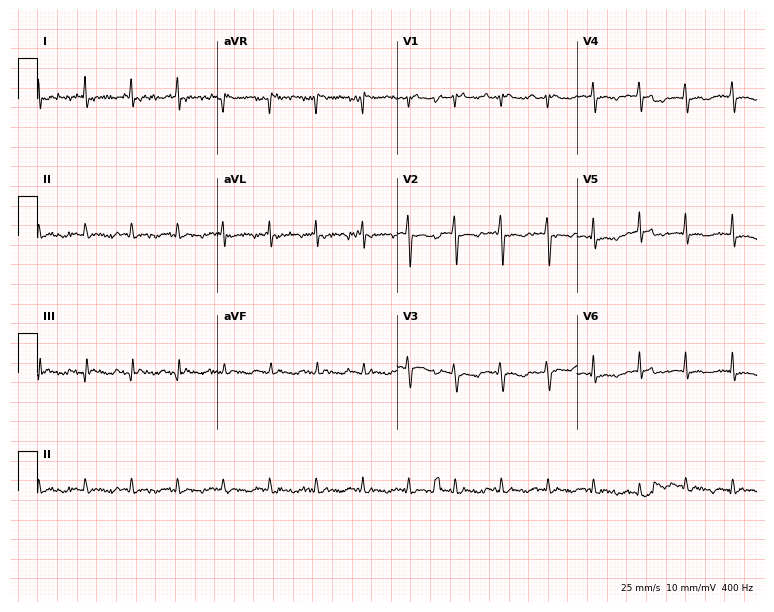
Standard 12-lead ECG recorded from a woman, 38 years old (7.3-second recording at 400 Hz). None of these six findings is recorded: first-degree AV block, right bundle branch block (RBBB), left bundle branch block (LBBB), sinus bradycardia, atrial fibrillation (AF), sinus tachycardia.